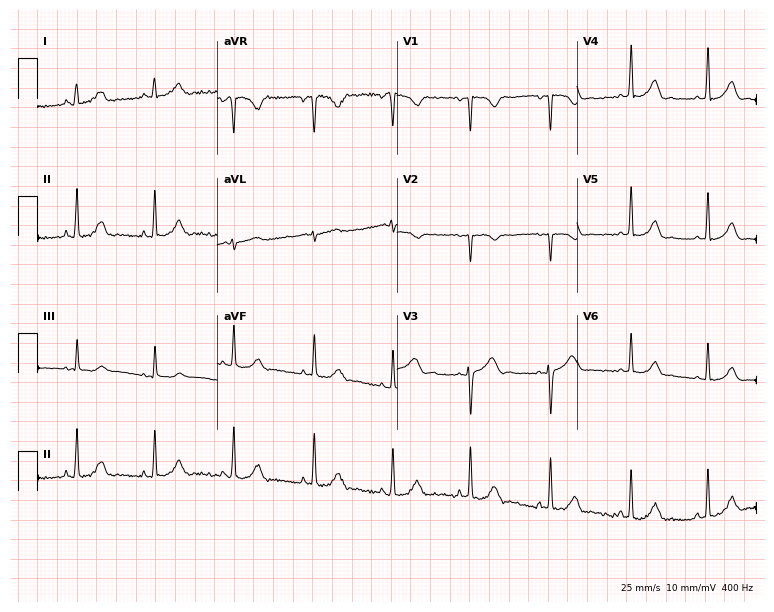
Standard 12-lead ECG recorded from a 23-year-old woman (7.3-second recording at 400 Hz). None of these six findings is recorded: first-degree AV block, right bundle branch block, left bundle branch block, sinus bradycardia, atrial fibrillation, sinus tachycardia. Only these six findings were labelled.